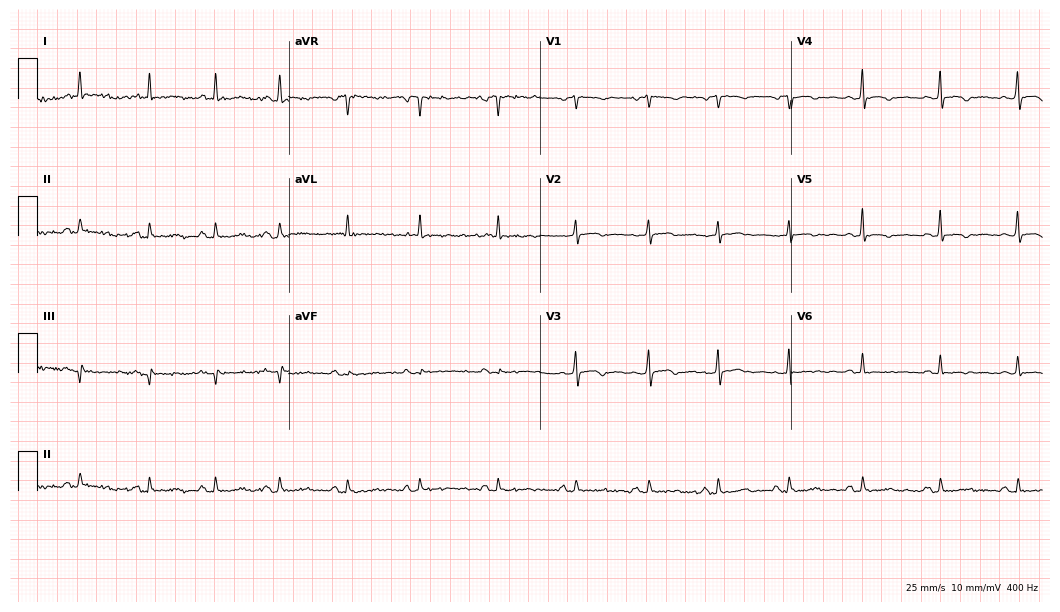
ECG — a female, 67 years old. Screened for six findings — first-degree AV block, right bundle branch block, left bundle branch block, sinus bradycardia, atrial fibrillation, sinus tachycardia — none is recorded. Only these six findings were labelled.